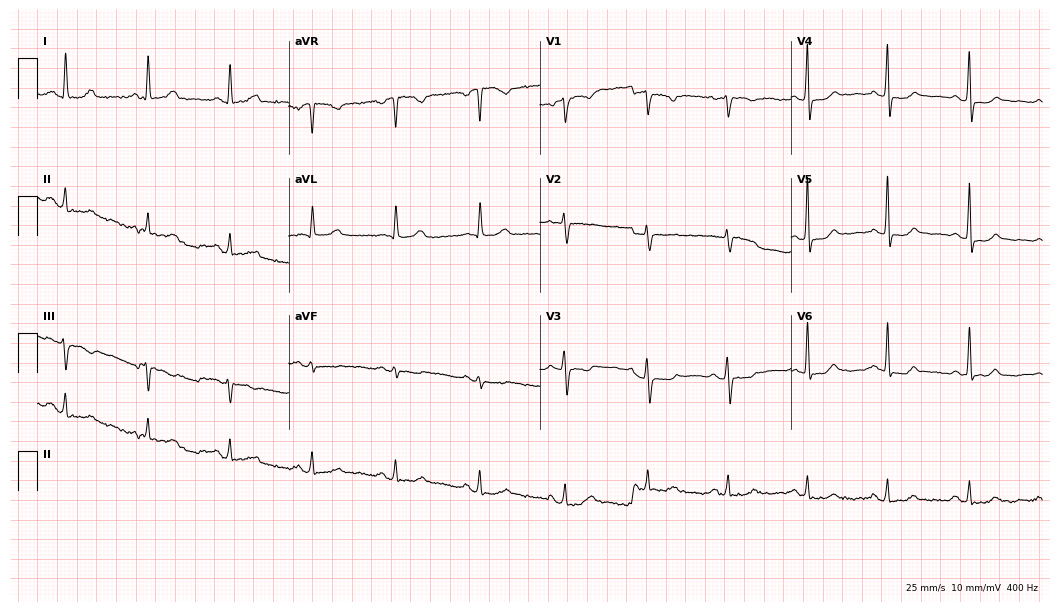
Electrocardiogram, a female patient, 67 years old. Of the six screened findings (first-degree AV block, right bundle branch block, left bundle branch block, sinus bradycardia, atrial fibrillation, sinus tachycardia), none is recorded. Only these six findings were labelled.